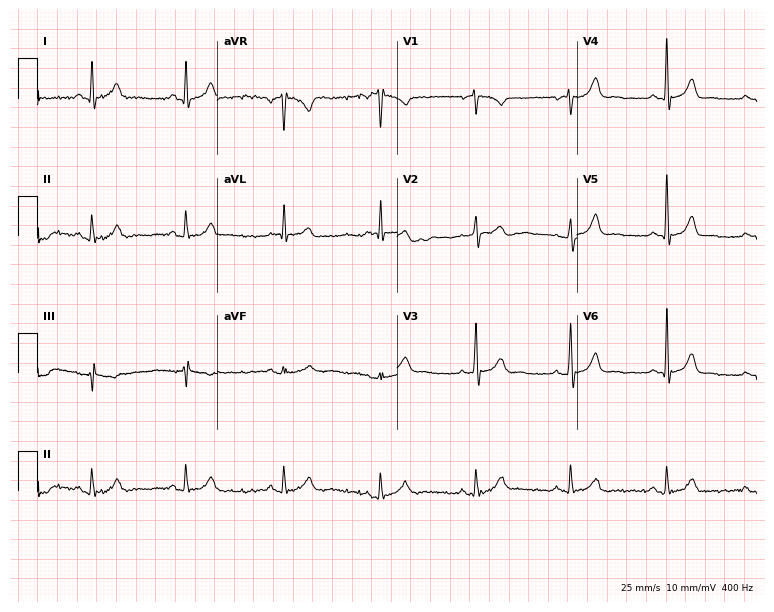
12-lead ECG from a 32-year-old male patient. Labelled as a normal ECG.